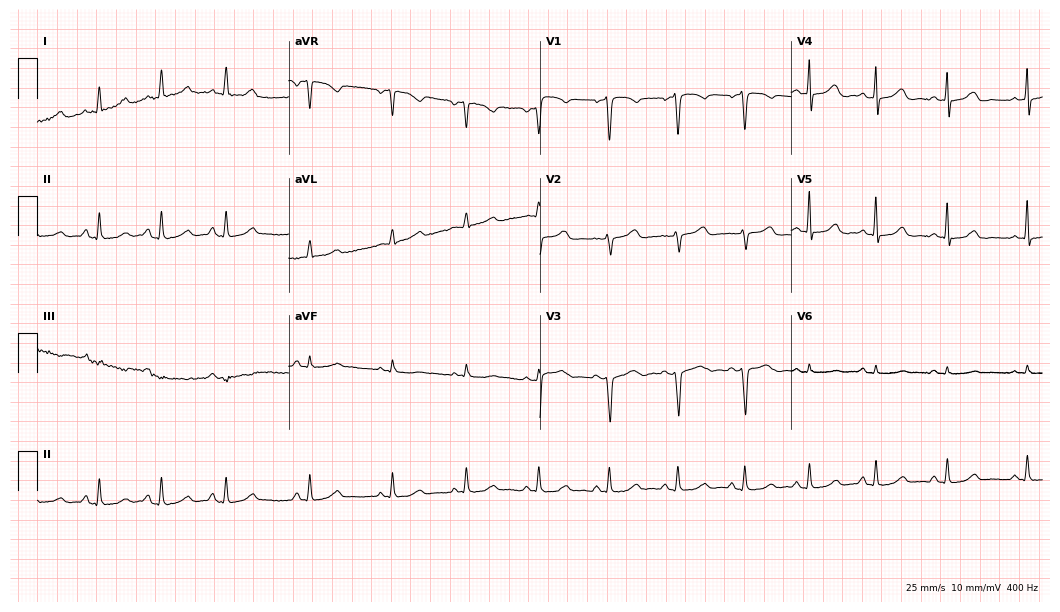
Electrocardiogram (10.2-second recording at 400 Hz), a woman, 27 years old. Overall reading on record: normal ECG.